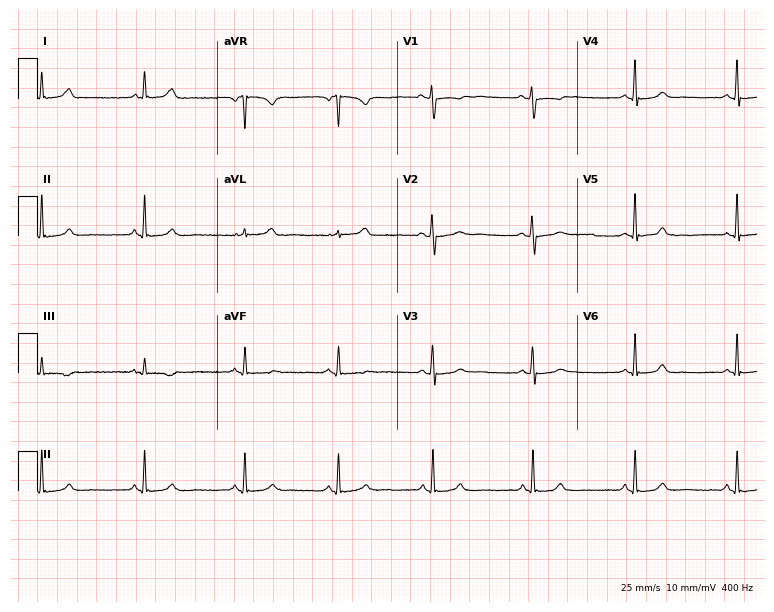
Standard 12-lead ECG recorded from a 26-year-old female patient. Read as a normal ECG.